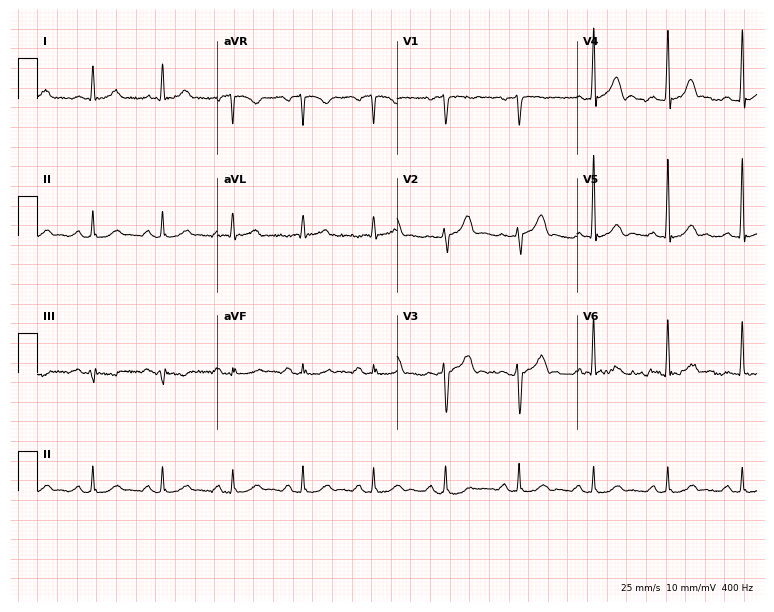
Electrocardiogram, a 50-year-old man. Overall reading on record: normal ECG.